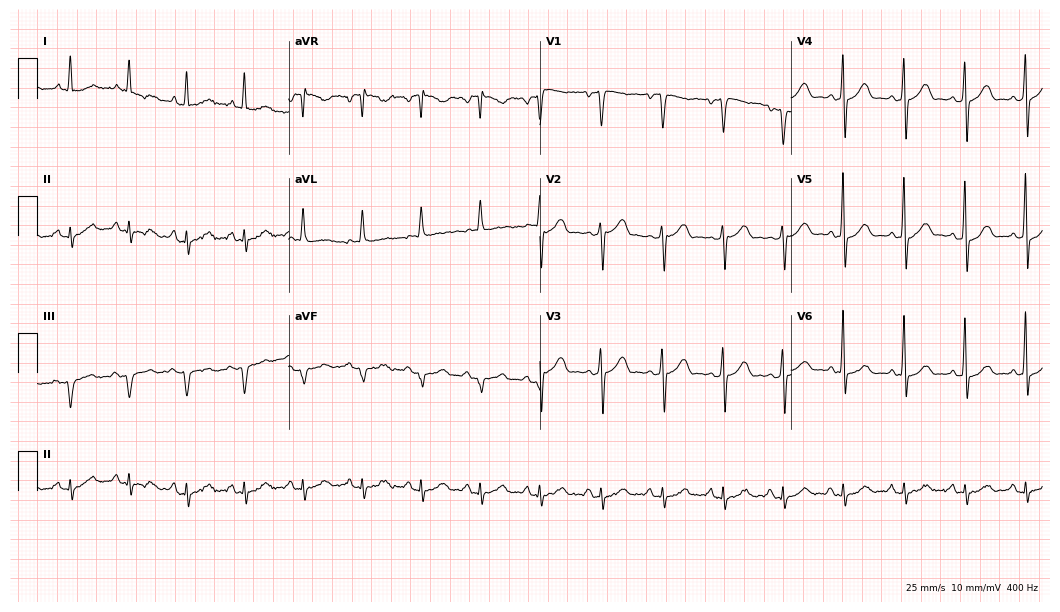
12-lead ECG (10.2-second recording at 400 Hz) from a 69-year-old female patient. Screened for six findings — first-degree AV block, right bundle branch block, left bundle branch block, sinus bradycardia, atrial fibrillation, sinus tachycardia — none is recorded.